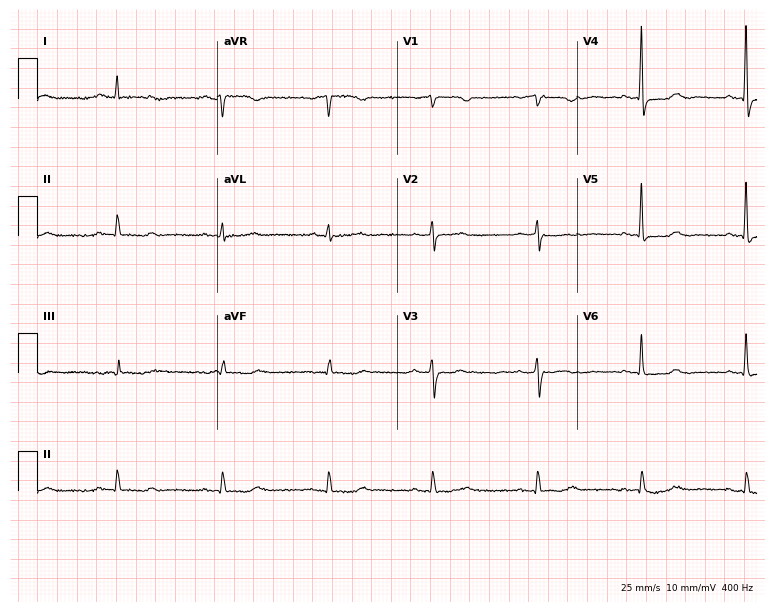
Resting 12-lead electrocardiogram (7.3-second recording at 400 Hz). Patient: a 66-year-old female. None of these six findings is recorded: first-degree AV block, right bundle branch block, left bundle branch block, sinus bradycardia, atrial fibrillation, sinus tachycardia. Findings outside these six are not listed.